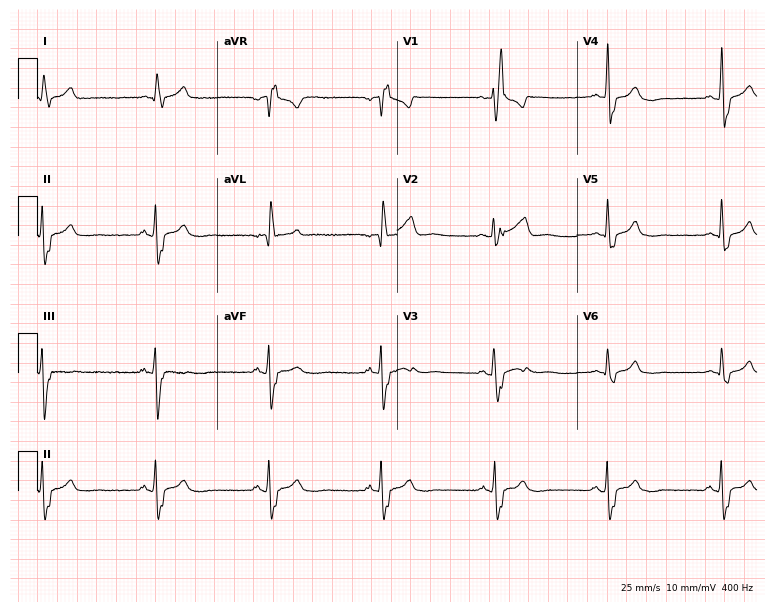
Resting 12-lead electrocardiogram. Patient: a male, 41 years old. The tracing shows right bundle branch block.